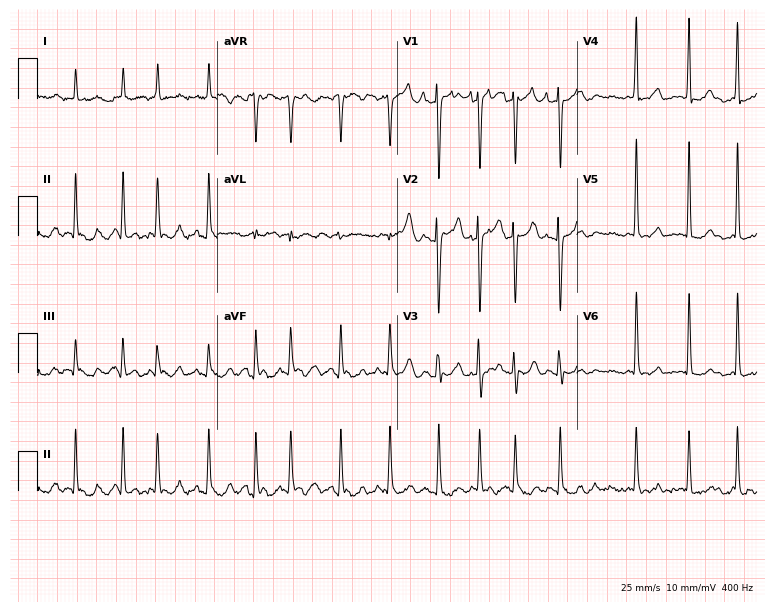
12-lead ECG from an 84-year-old woman. Findings include atrial fibrillation.